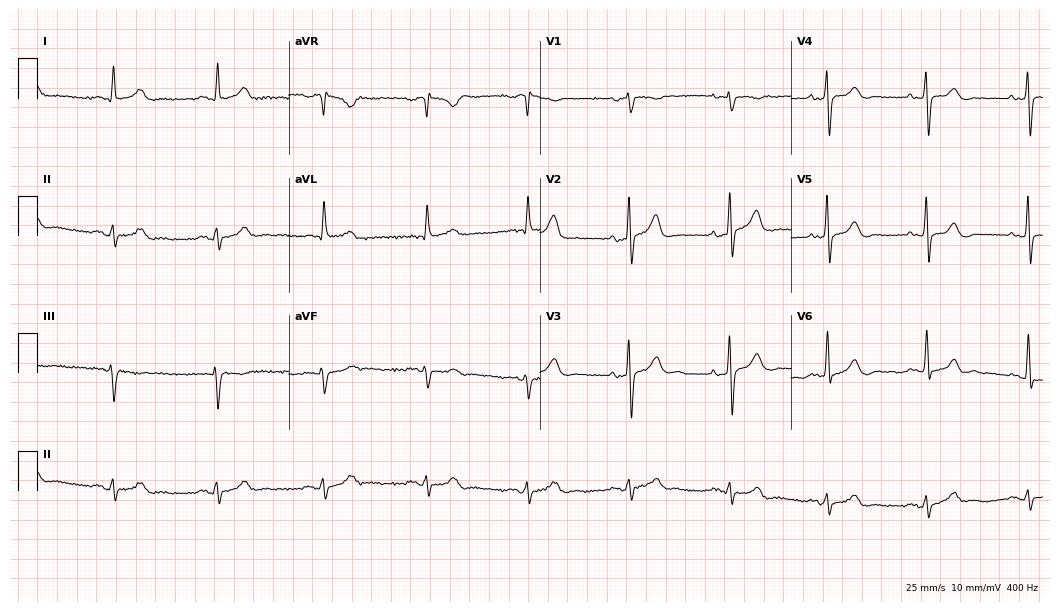
Standard 12-lead ECG recorded from a male patient, 80 years old. None of these six findings is recorded: first-degree AV block, right bundle branch block, left bundle branch block, sinus bradycardia, atrial fibrillation, sinus tachycardia. Only these six findings were labelled.